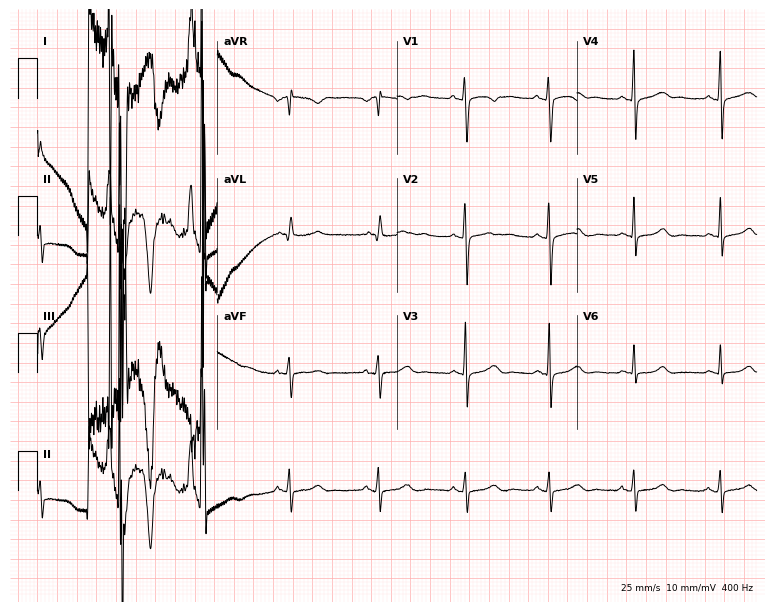
Electrocardiogram, a woman, 26 years old. Overall reading on record: normal ECG.